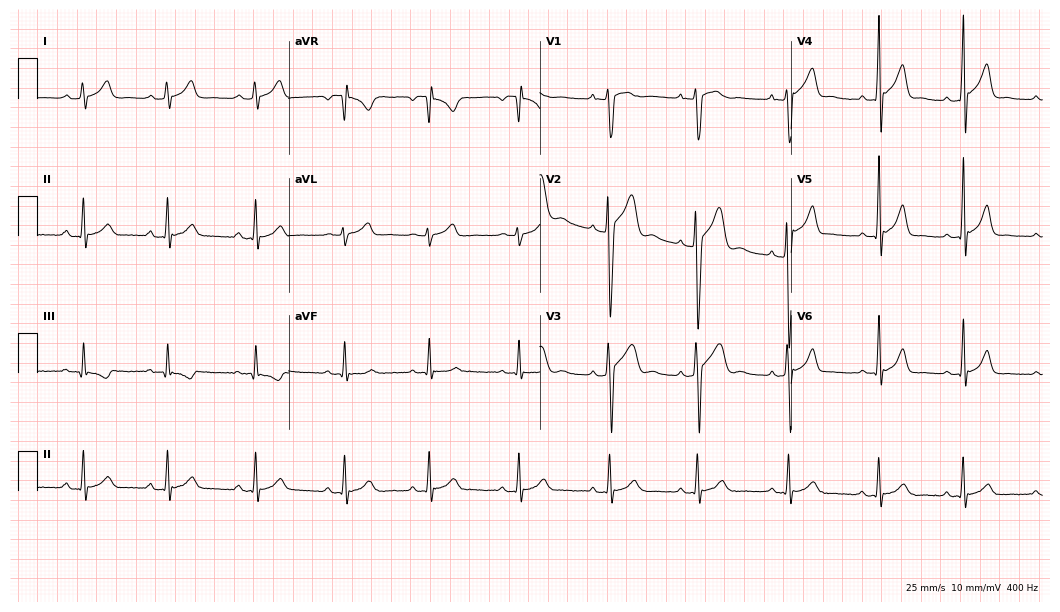
12-lead ECG (10.2-second recording at 400 Hz) from a 17-year-old male patient. Labelled as a normal ECG.